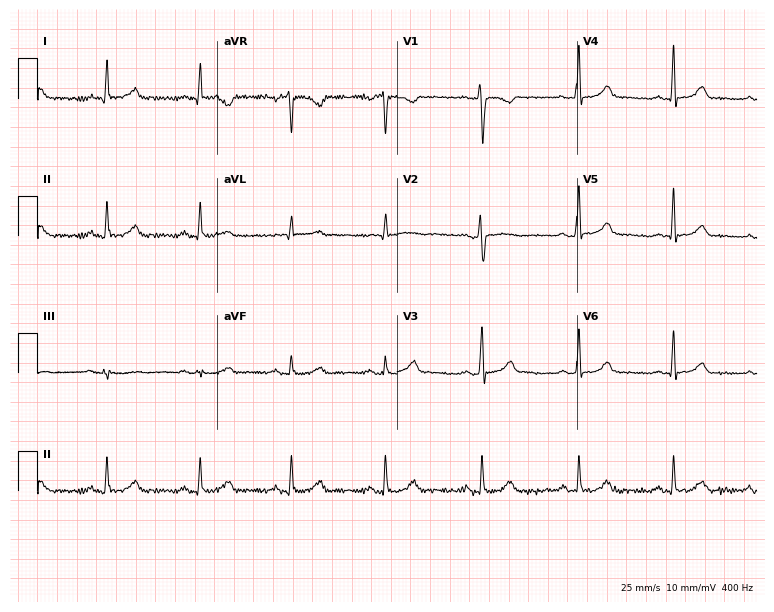
Standard 12-lead ECG recorded from a woman, 43 years old (7.3-second recording at 400 Hz). Read as a normal ECG.